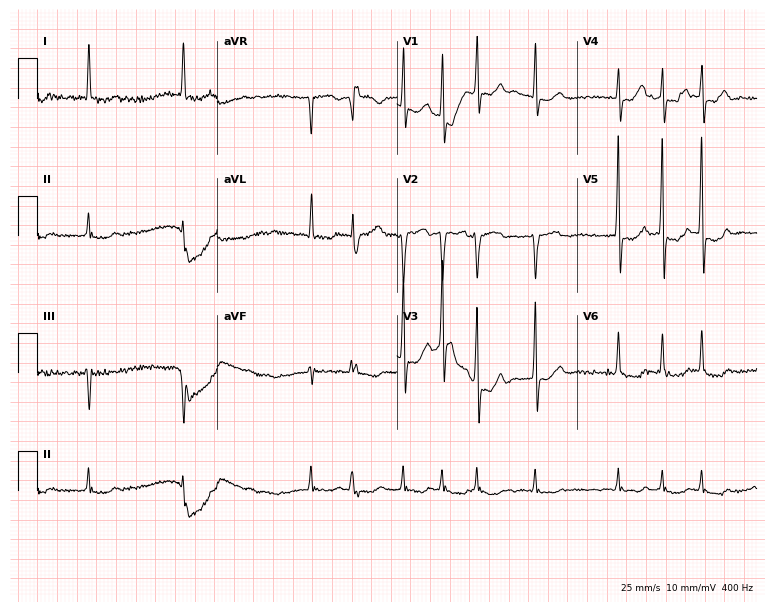
12-lead ECG (7.3-second recording at 400 Hz) from an 83-year-old female patient. Findings include atrial fibrillation (AF).